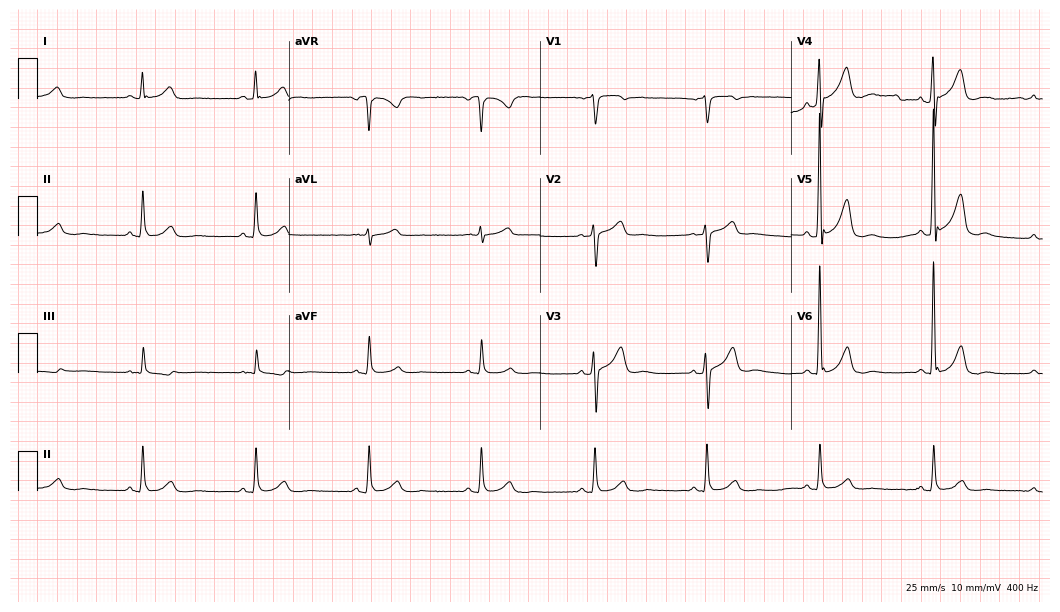
12-lead ECG (10.2-second recording at 400 Hz) from a man, 77 years old. Labelled as a normal ECG.